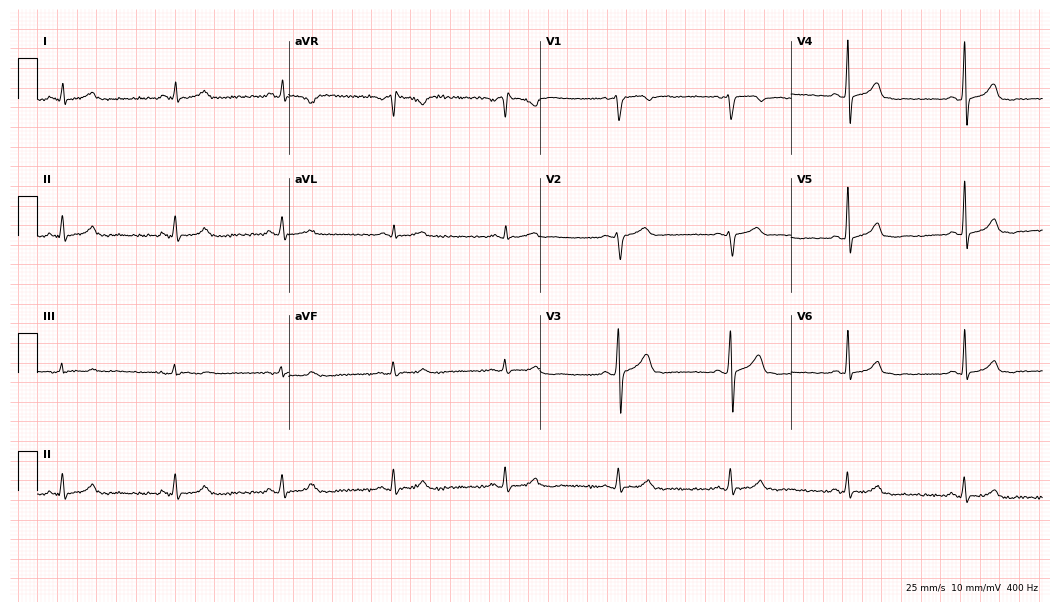
12-lead ECG from a male, 56 years old. Labelled as a normal ECG.